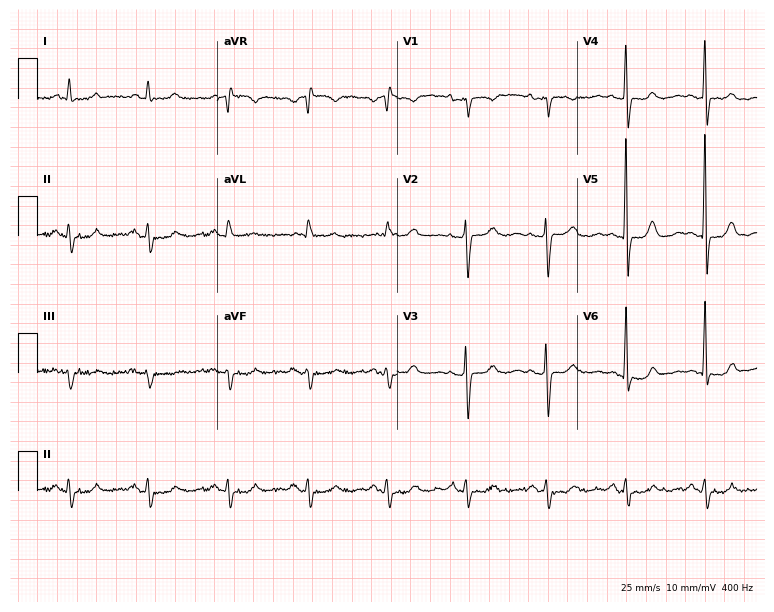
Standard 12-lead ECG recorded from a 76-year-old male patient. None of these six findings is recorded: first-degree AV block, right bundle branch block, left bundle branch block, sinus bradycardia, atrial fibrillation, sinus tachycardia. Only these six findings were labelled.